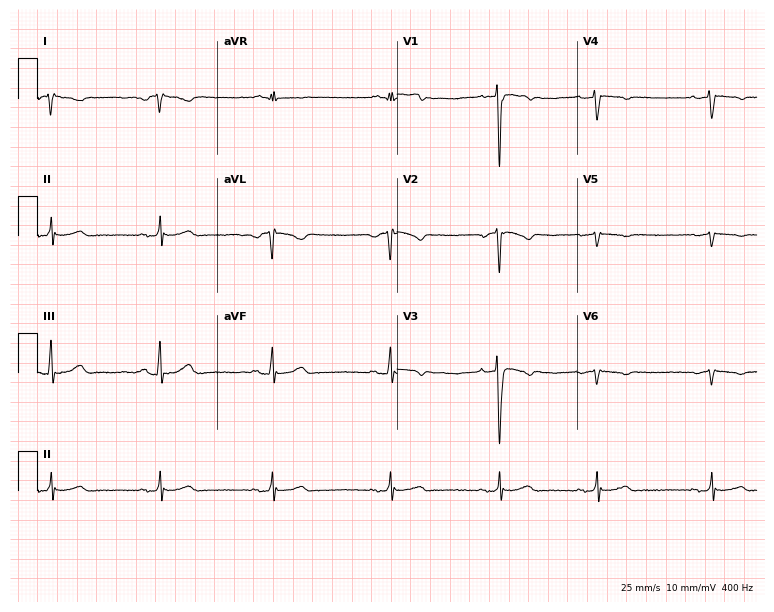
12-lead ECG from a 33-year-old man (7.3-second recording at 400 Hz). No first-degree AV block, right bundle branch block, left bundle branch block, sinus bradycardia, atrial fibrillation or sinus tachycardia recorded for this tracing.